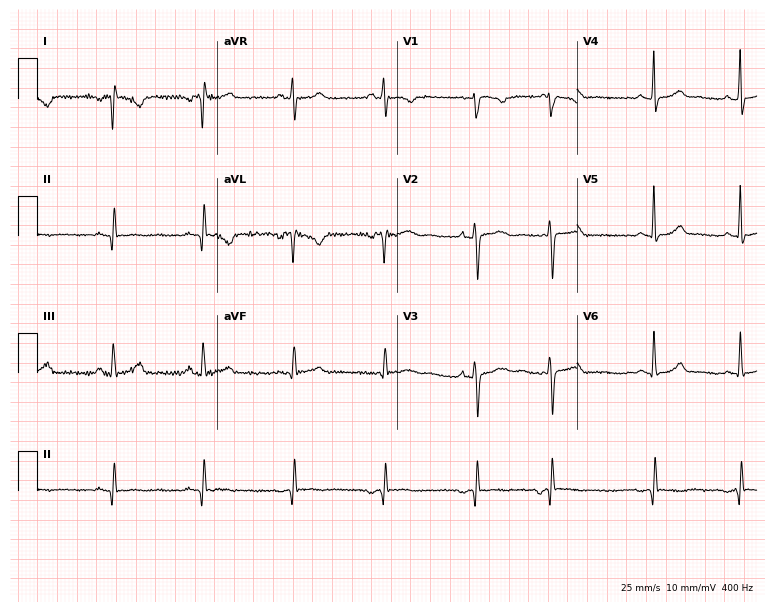
12-lead ECG (7.3-second recording at 400 Hz) from a female, 19 years old. Screened for six findings — first-degree AV block, right bundle branch block, left bundle branch block, sinus bradycardia, atrial fibrillation, sinus tachycardia — none is recorded. Other findings, if any, are not listed.